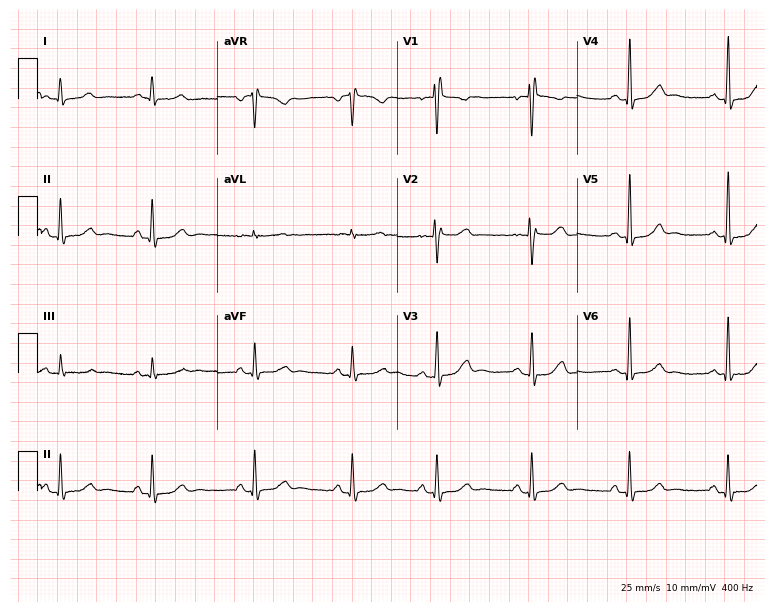
Electrocardiogram (7.3-second recording at 400 Hz), a 19-year-old female patient. Of the six screened findings (first-degree AV block, right bundle branch block (RBBB), left bundle branch block (LBBB), sinus bradycardia, atrial fibrillation (AF), sinus tachycardia), none is recorded. Only these six findings were labelled.